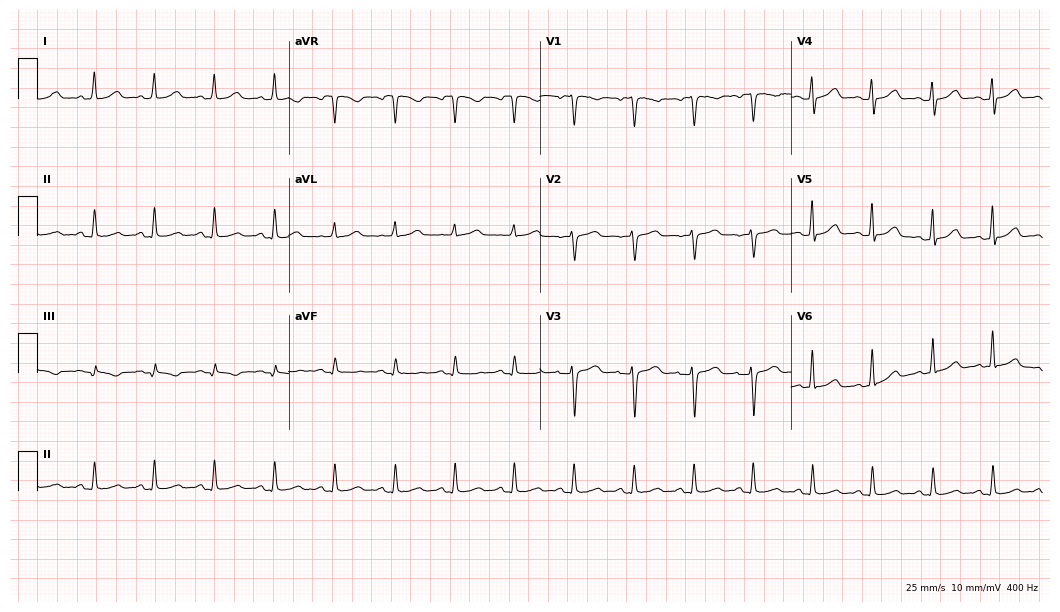
12-lead ECG (10.2-second recording at 400 Hz) from a female patient, 45 years old. Labelled as a normal ECG.